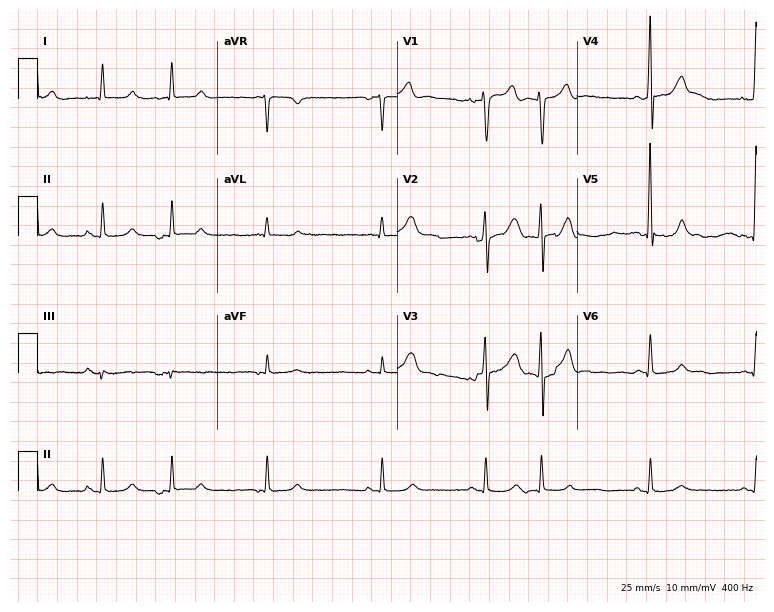
ECG — a man, 79 years old. Screened for six findings — first-degree AV block, right bundle branch block, left bundle branch block, sinus bradycardia, atrial fibrillation, sinus tachycardia — none is recorded. Only these six findings were labelled.